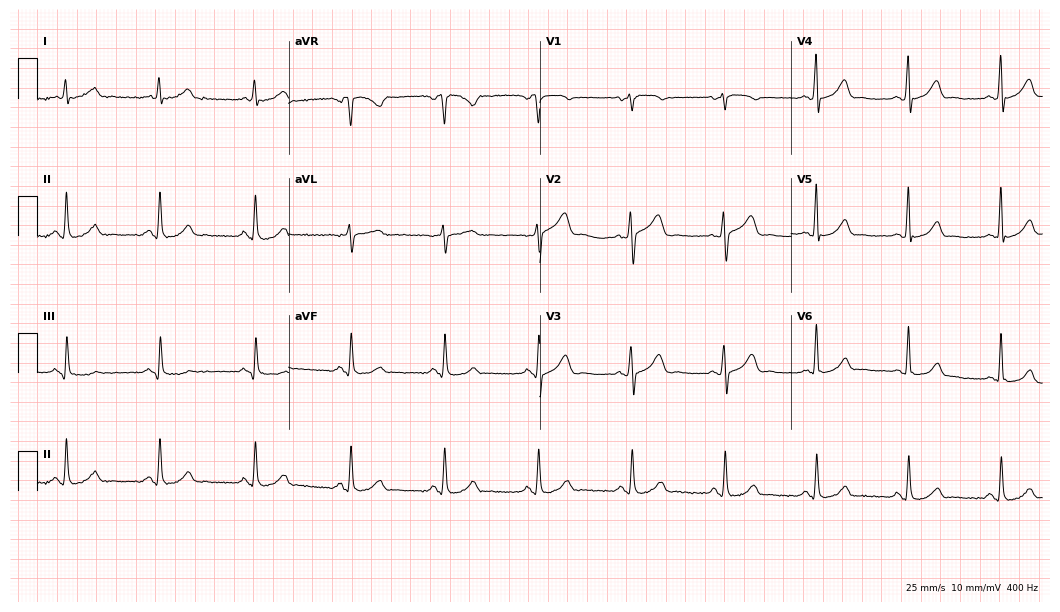
Resting 12-lead electrocardiogram (10.2-second recording at 400 Hz). Patient: a 56-year-old man. Read as a normal ECG.